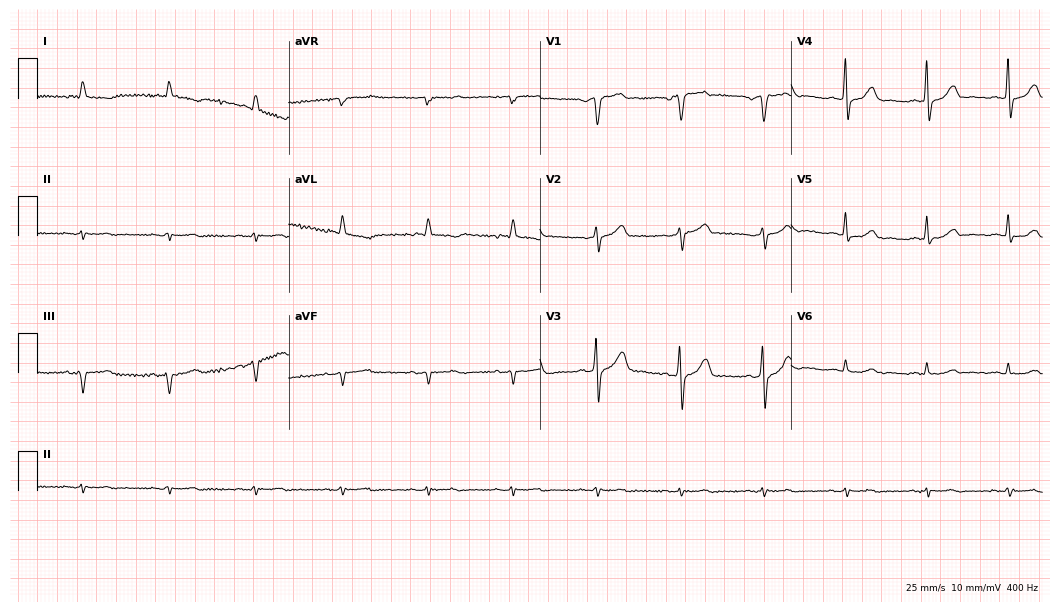
ECG (10.2-second recording at 400 Hz) — a 71-year-old male patient. Screened for six findings — first-degree AV block, right bundle branch block (RBBB), left bundle branch block (LBBB), sinus bradycardia, atrial fibrillation (AF), sinus tachycardia — none is recorded. Other findings, if any, are not listed.